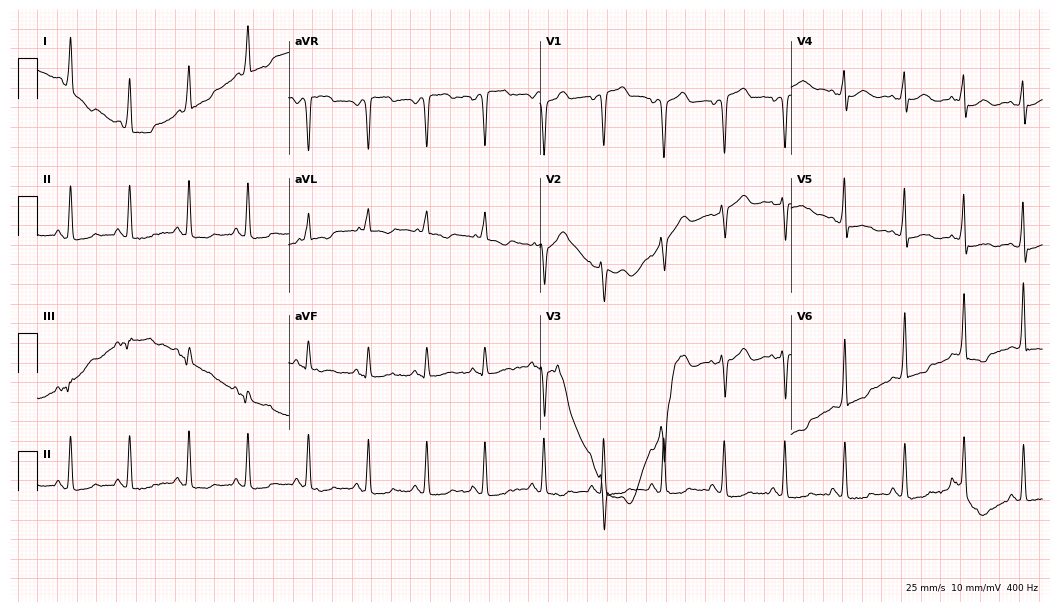
12-lead ECG from a 57-year-old female (10.2-second recording at 400 Hz). No first-degree AV block, right bundle branch block, left bundle branch block, sinus bradycardia, atrial fibrillation or sinus tachycardia recorded for this tracing.